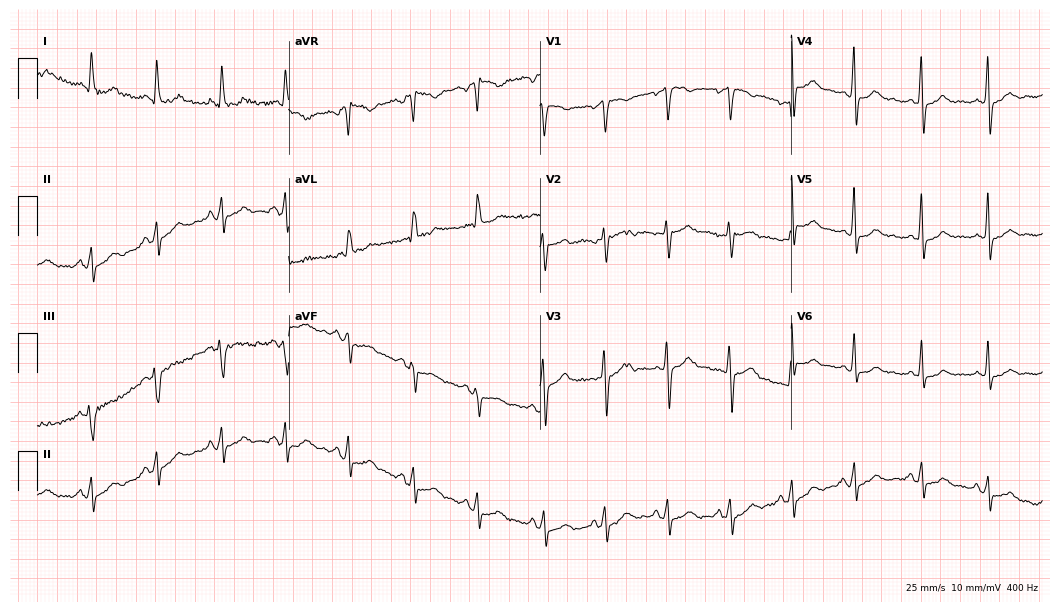
ECG — a 32-year-old female. Screened for six findings — first-degree AV block, right bundle branch block (RBBB), left bundle branch block (LBBB), sinus bradycardia, atrial fibrillation (AF), sinus tachycardia — none is recorded.